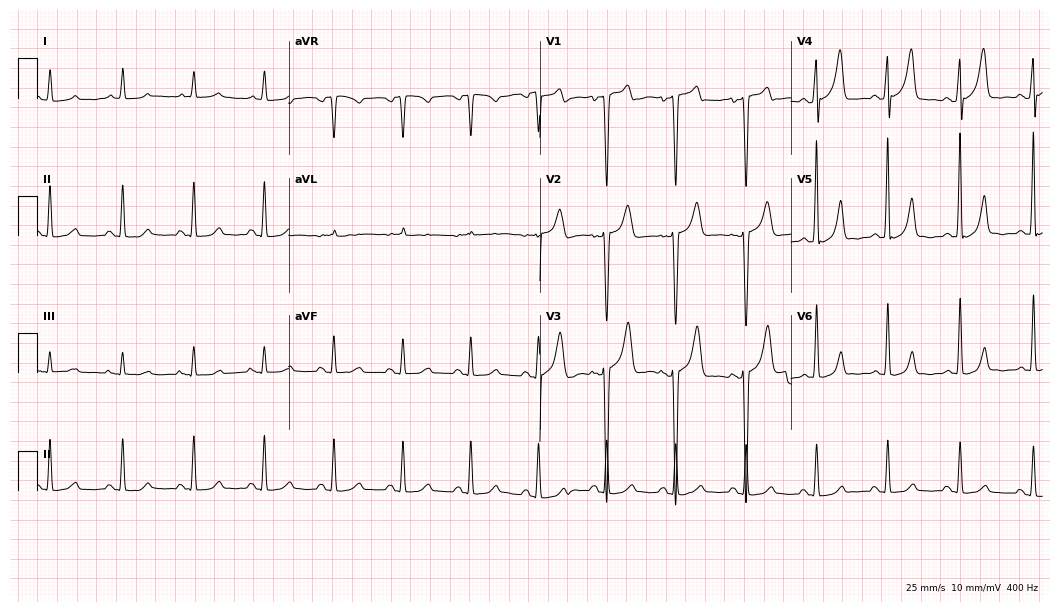
12-lead ECG from a 43-year-old male patient. No first-degree AV block, right bundle branch block, left bundle branch block, sinus bradycardia, atrial fibrillation or sinus tachycardia recorded for this tracing. Findings outside these six are not listed.